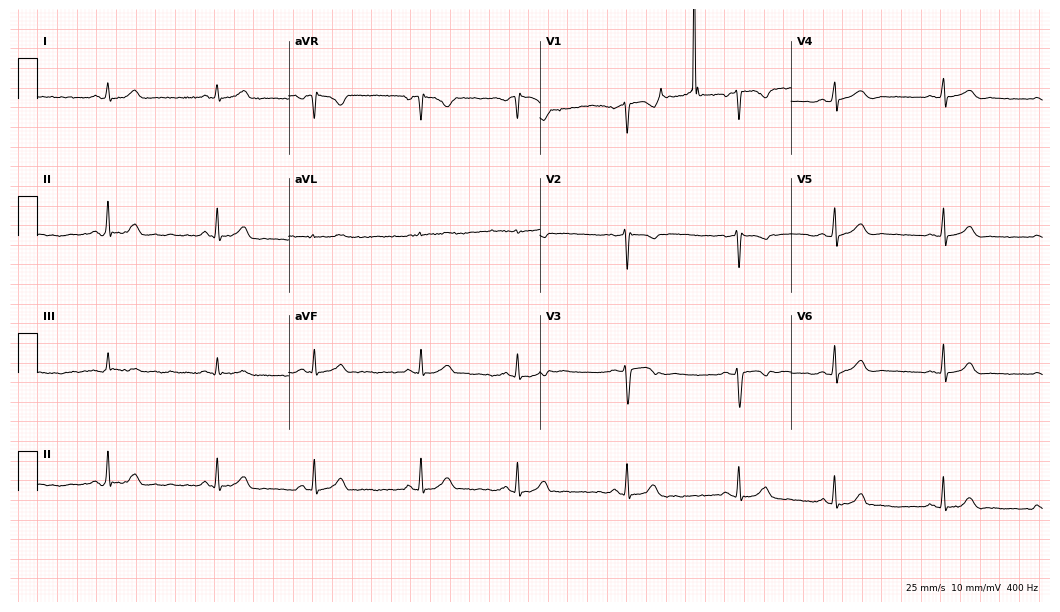
ECG (10.2-second recording at 400 Hz) — a 22-year-old woman. Labelled as a normal ECG.